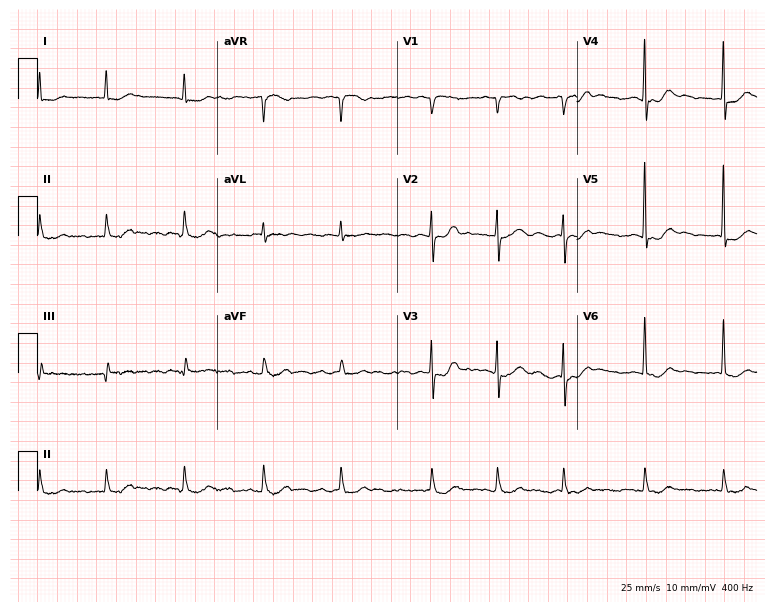
Resting 12-lead electrocardiogram. Patient: a female, 84 years old. The tracing shows first-degree AV block, atrial fibrillation.